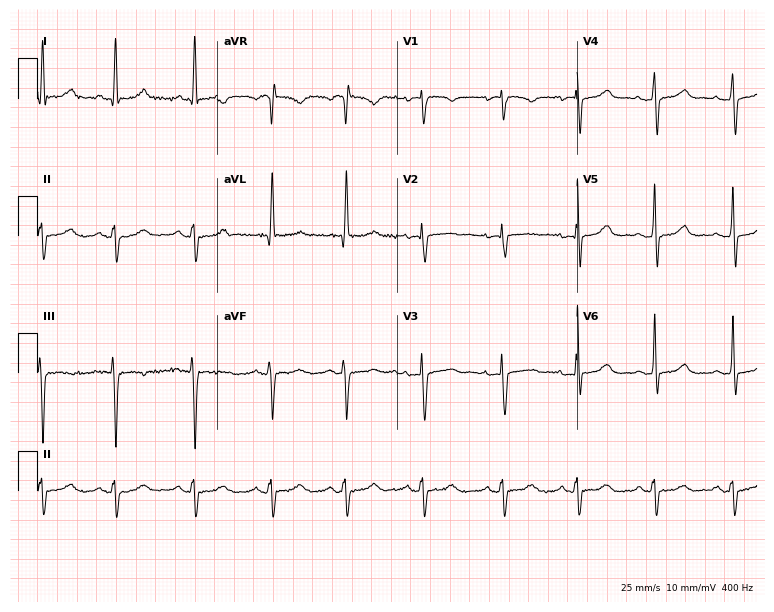
Standard 12-lead ECG recorded from a female, 56 years old (7.3-second recording at 400 Hz). None of these six findings is recorded: first-degree AV block, right bundle branch block (RBBB), left bundle branch block (LBBB), sinus bradycardia, atrial fibrillation (AF), sinus tachycardia.